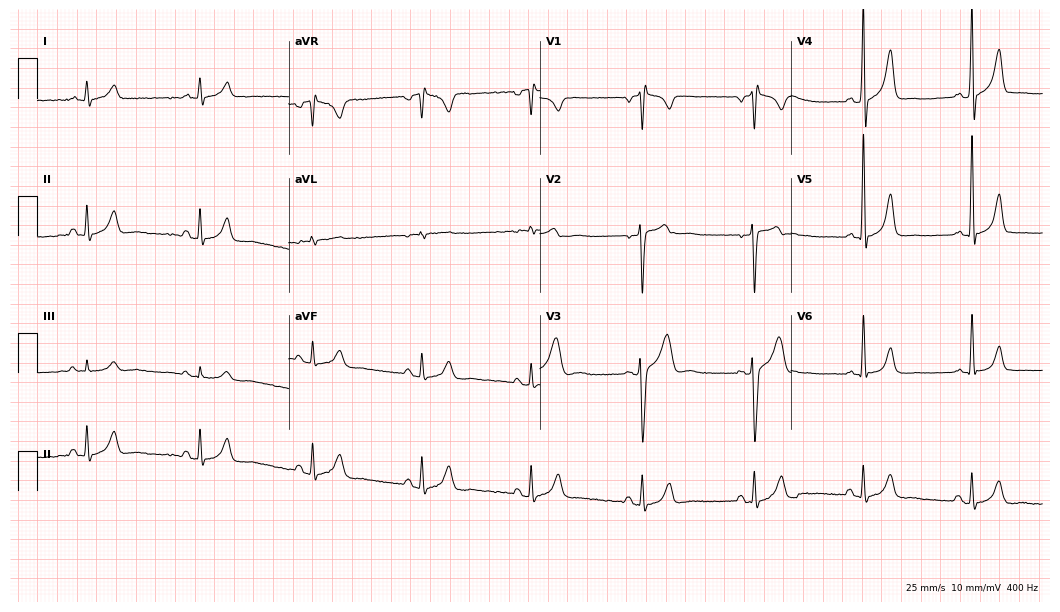
12-lead ECG (10.2-second recording at 400 Hz) from a 46-year-old man. Screened for six findings — first-degree AV block, right bundle branch block, left bundle branch block, sinus bradycardia, atrial fibrillation, sinus tachycardia — none is recorded. Only these six findings were labelled.